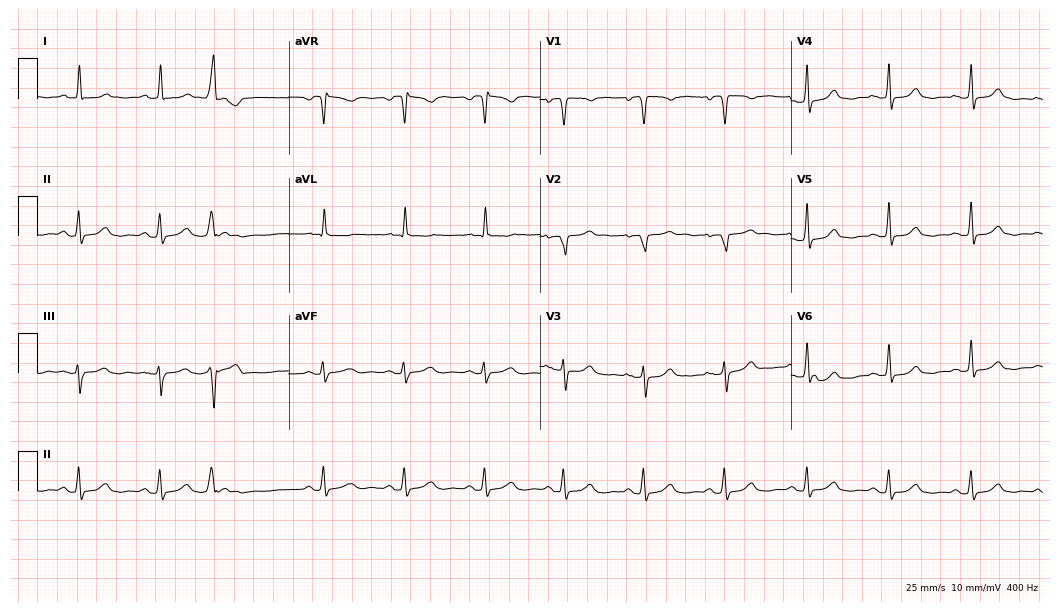
ECG (10.2-second recording at 400 Hz) — a man, 78 years old. Screened for six findings — first-degree AV block, right bundle branch block, left bundle branch block, sinus bradycardia, atrial fibrillation, sinus tachycardia — none is recorded. Findings outside these six are not listed.